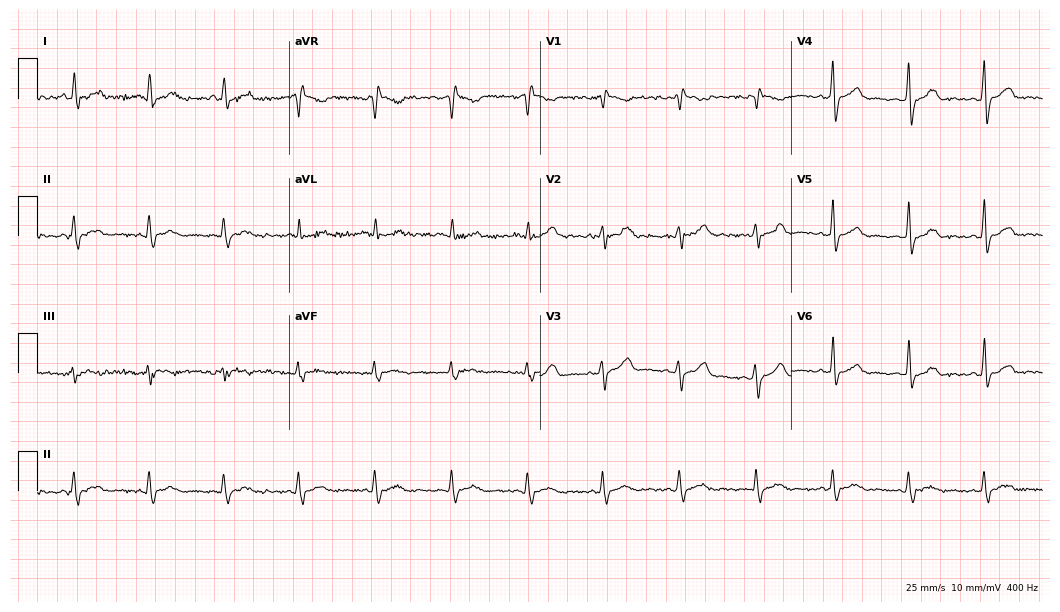
12-lead ECG (10.2-second recording at 400 Hz) from a 48-year-old female. Screened for six findings — first-degree AV block, right bundle branch block, left bundle branch block, sinus bradycardia, atrial fibrillation, sinus tachycardia — none is recorded. Findings outside these six are not listed.